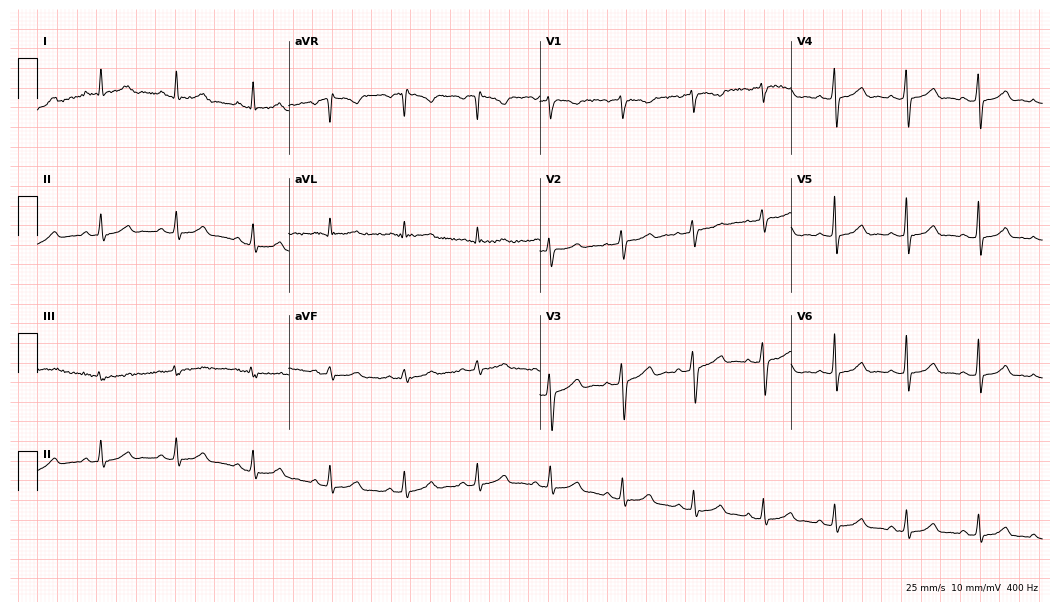
Standard 12-lead ECG recorded from a 37-year-old female patient (10.2-second recording at 400 Hz). Read as a normal ECG.